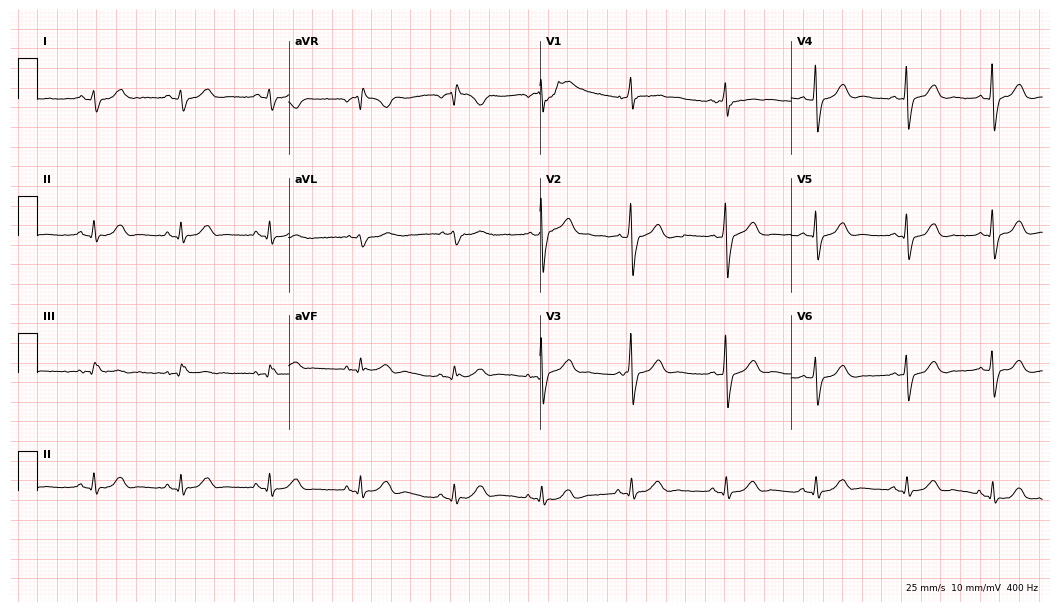
ECG (10.2-second recording at 400 Hz) — a 65-year-old male patient. Findings include right bundle branch block.